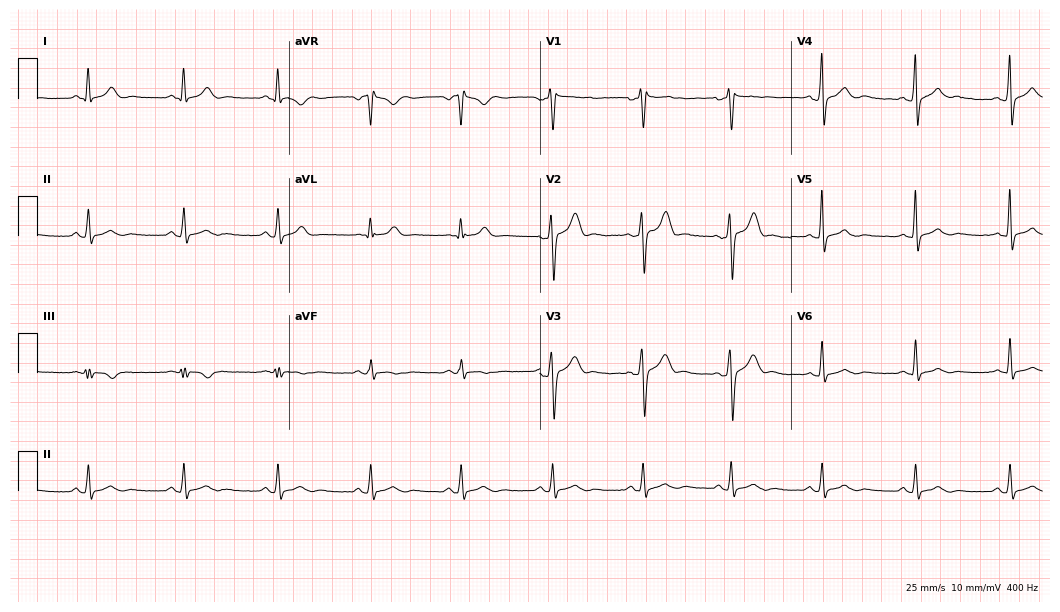
Resting 12-lead electrocardiogram. Patient: a 35-year-old man. Read as a normal ECG.